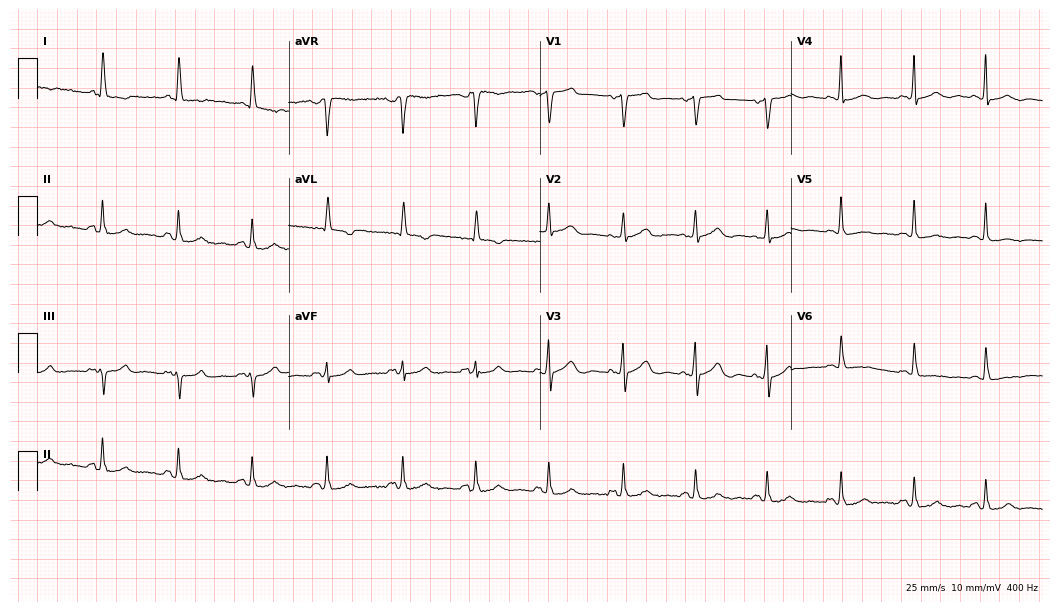
12-lead ECG from a 69-year-old woman. Screened for six findings — first-degree AV block, right bundle branch block (RBBB), left bundle branch block (LBBB), sinus bradycardia, atrial fibrillation (AF), sinus tachycardia — none is recorded. Findings outside these six are not listed.